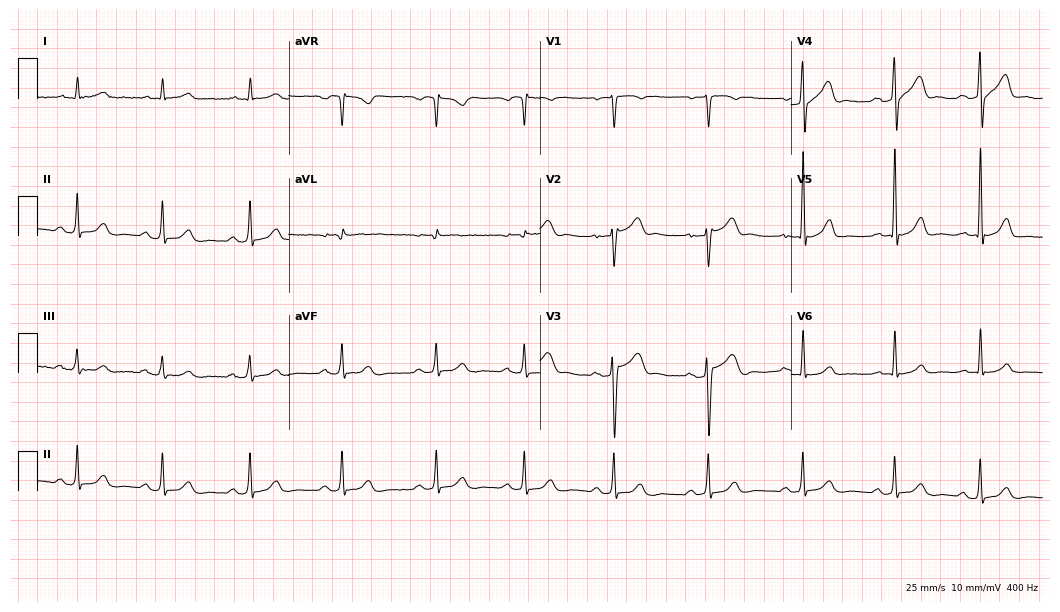
12-lead ECG from a 60-year-old man. Labelled as a normal ECG.